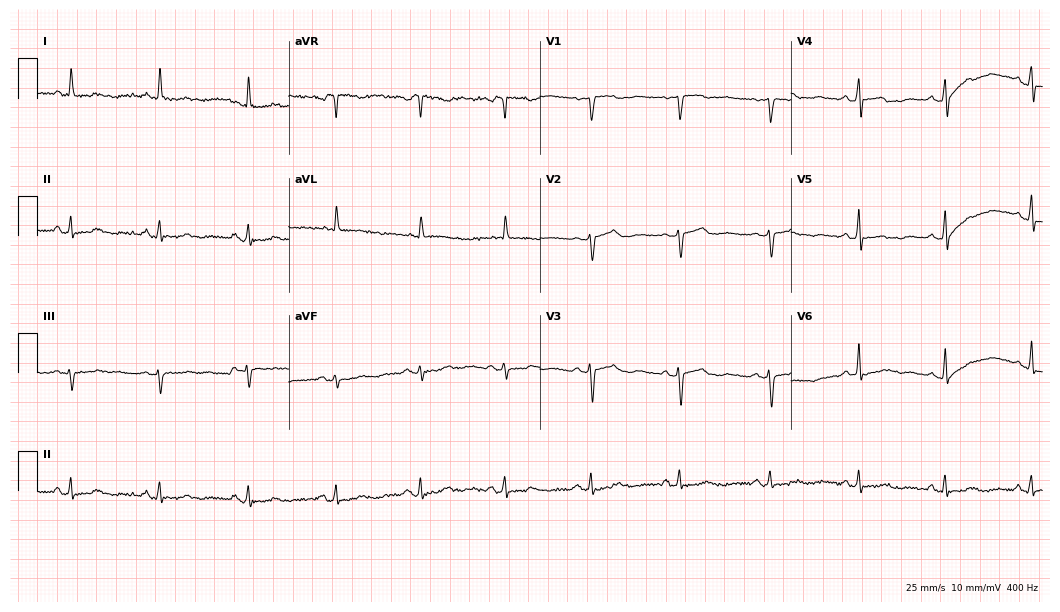
12-lead ECG (10.2-second recording at 400 Hz) from a 60-year-old female. Screened for six findings — first-degree AV block, right bundle branch block (RBBB), left bundle branch block (LBBB), sinus bradycardia, atrial fibrillation (AF), sinus tachycardia — none is recorded.